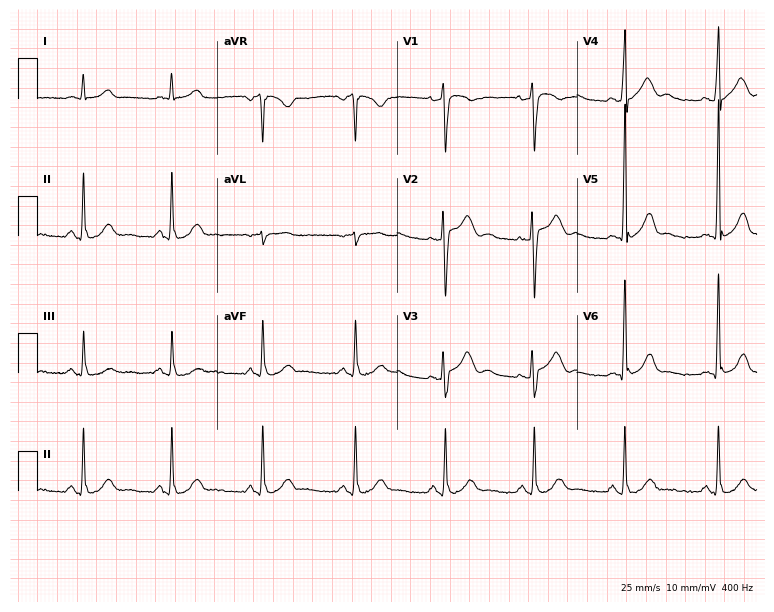
Electrocardiogram, a male, 56 years old. Of the six screened findings (first-degree AV block, right bundle branch block (RBBB), left bundle branch block (LBBB), sinus bradycardia, atrial fibrillation (AF), sinus tachycardia), none is recorded. Other findings, if any, are not listed.